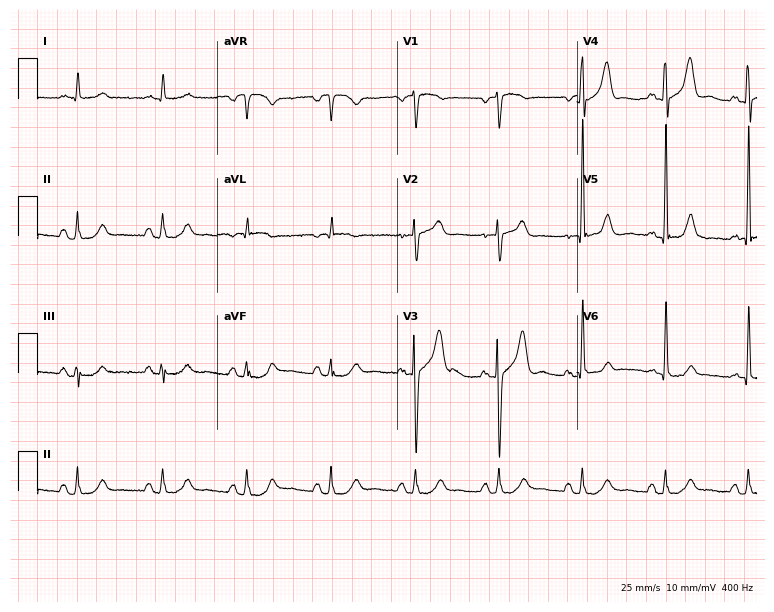
12-lead ECG from a 77-year-old male. Screened for six findings — first-degree AV block, right bundle branch block, left bundle branch block, sinus bradycardia, atrial fibrillation, sinus tachycardia — none is recorded. Only these six findings were labelled.